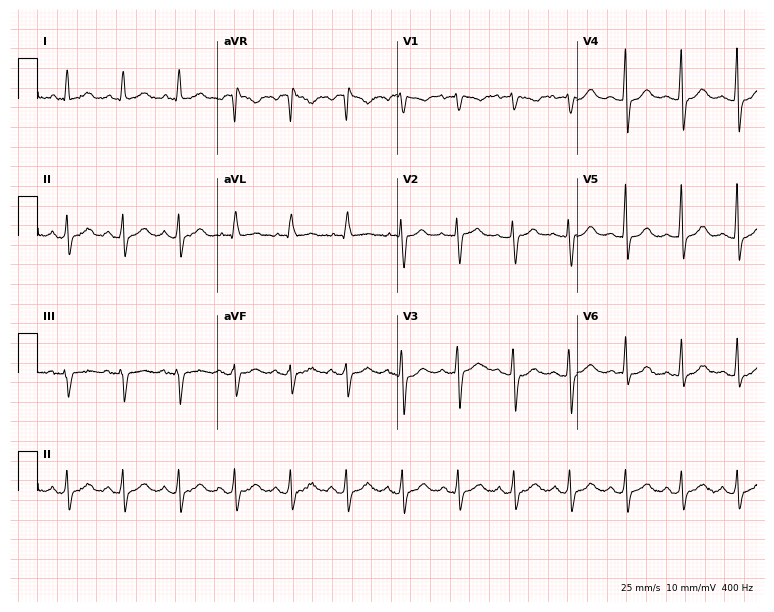
Standard 12-lead ECG recorded from a 56-year-old female patient (7.3-second recording at 400 Hz). The tracing shows sinus tachycardia (a sinus rate of 100 beats per minute or more).